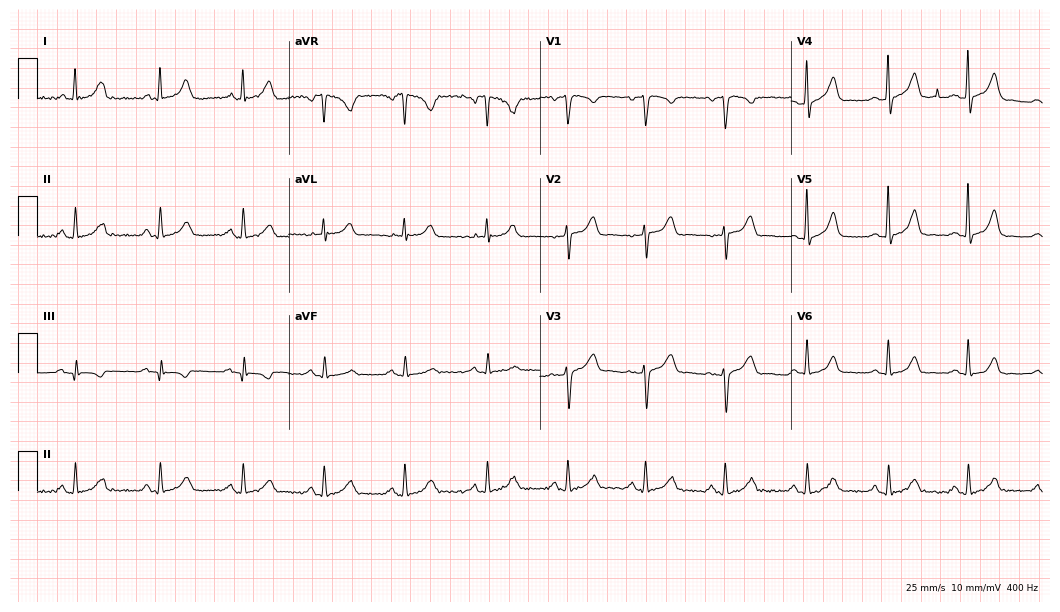
12-lead ECG from a 40-year-old female. Recorded interpretation: within normal limits.